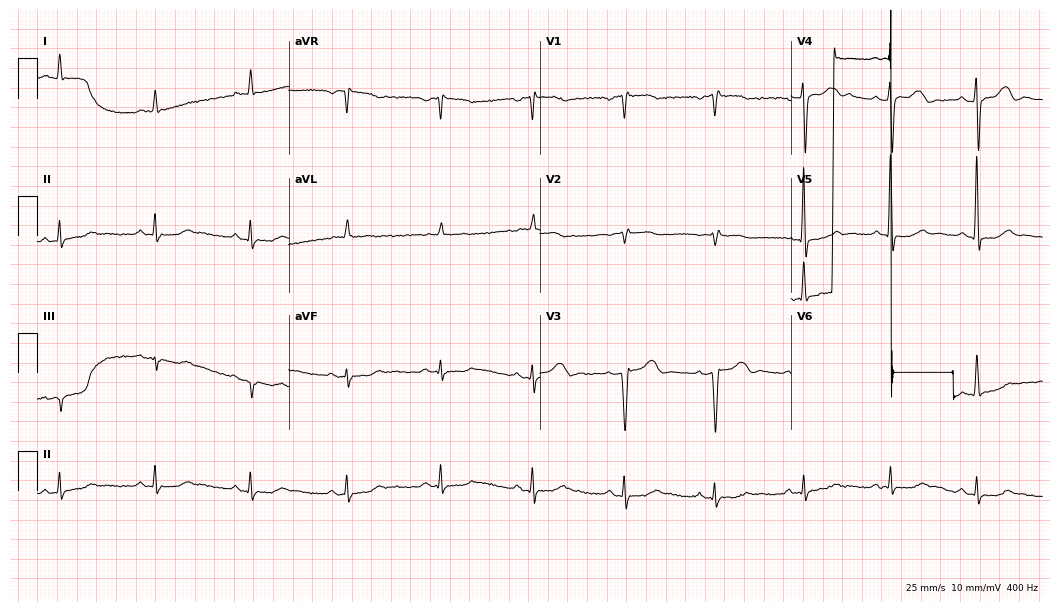
Electrocardiogram (10.2-second recording at 400 Hz), a male, 75 years old. Of the six screened findings (first-degree AV block, right bundle branch block (RBBB), left bundle branch block (LBBB), sinus bradycardia, atrial fibrillation (AF), sinus tachycardia), none is recorded. Findings outside these six are not listed.